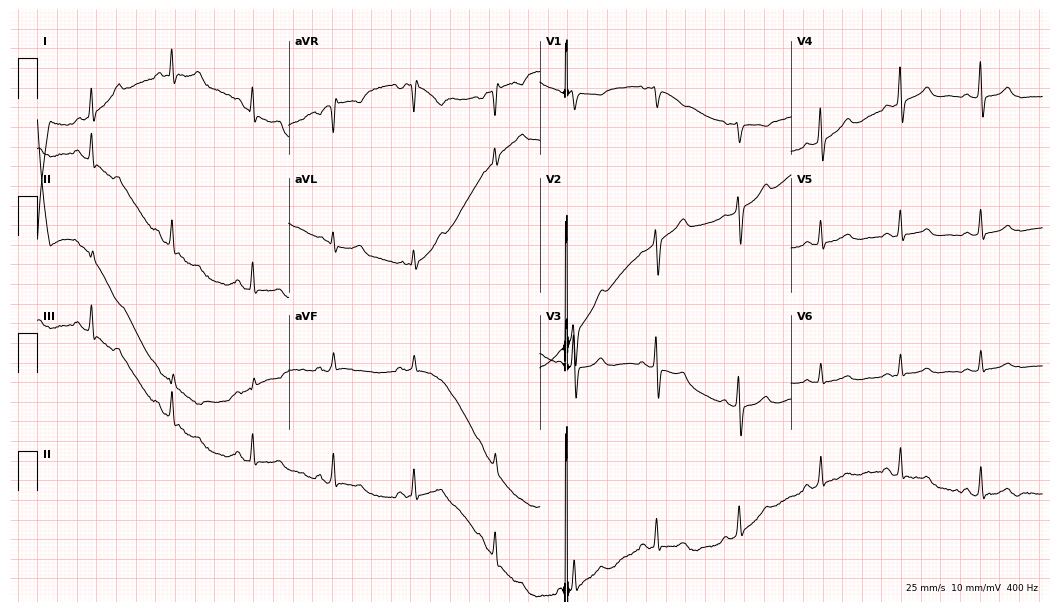
Standard 12-lead ECG recorded from a female patient, 63 years old (10.2-second recording at 400 Hz). Read as a normal ECG.